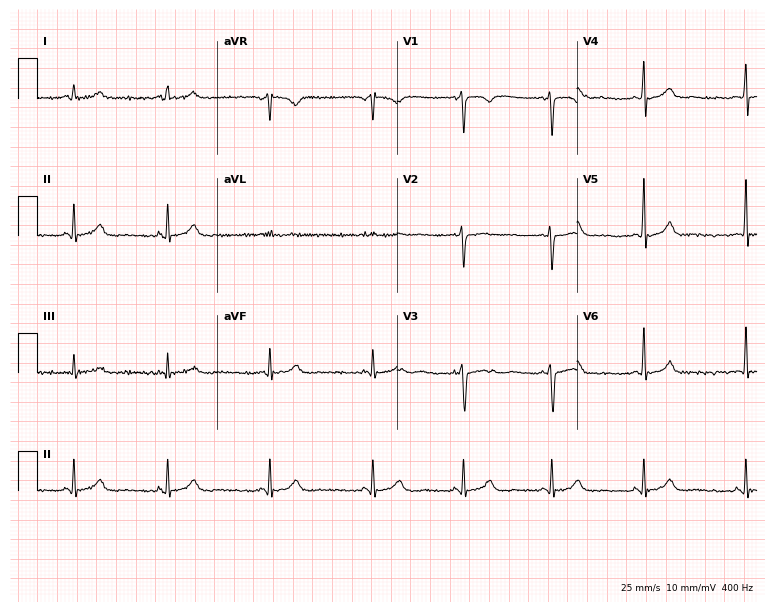
12-lead ECG from a female, 37 years old. Labelled as a normal ECG.